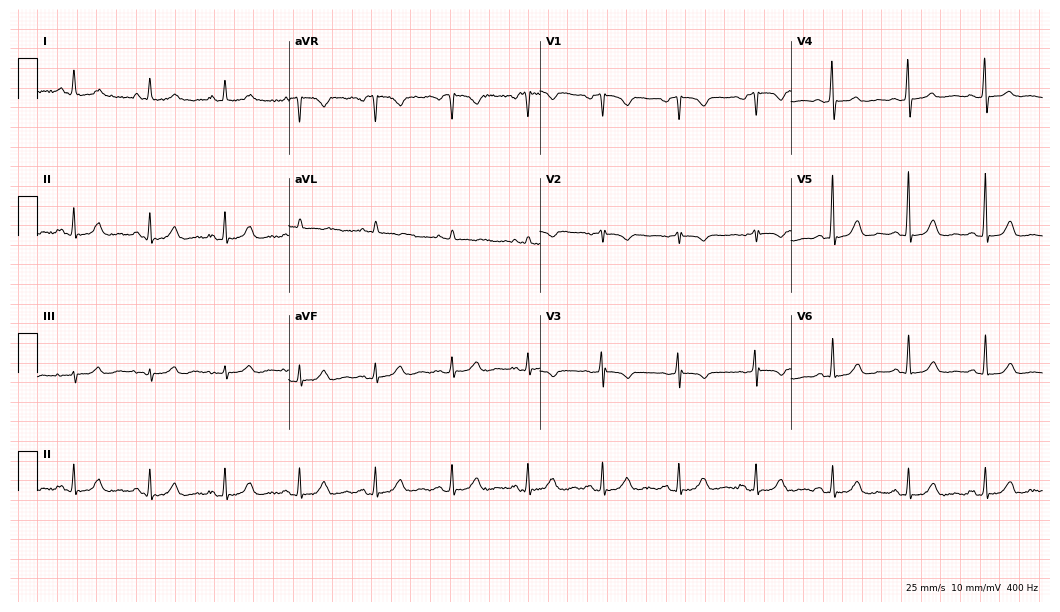
12-lead ECG (10.2-second recording at 400 Hz) from a woman, 68 years old. Screened for six findings — first-degree AV block, right bundle branch block, left bundle branch block, sinus bradycardia, atrial fibrillation, sinus tachycardia — none is recorded.